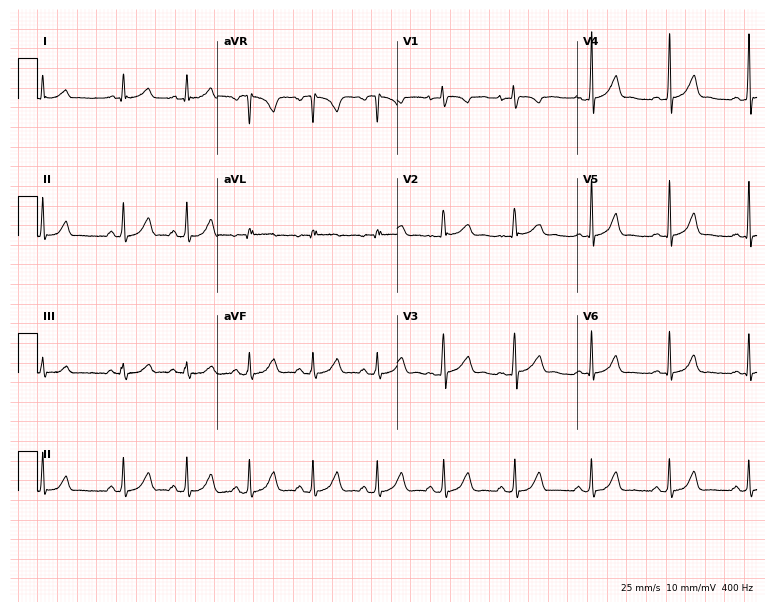
Resting 12-lead electrocardiogram (7.3-second recording at 400 Hz). Patient: a 23-year-old female. Read as a normal ECG.